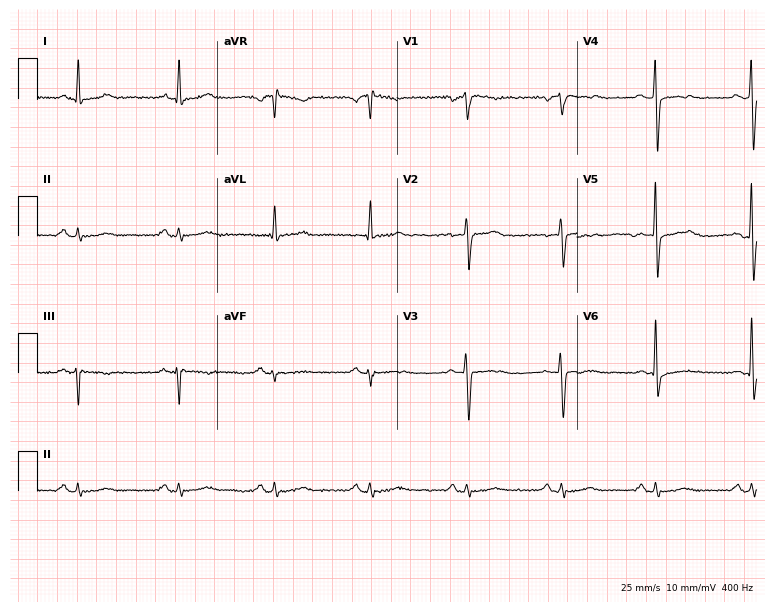
Resting 12-lead electrocardiogram. Patient: a 68-year-old man. Read as a normal ECG.